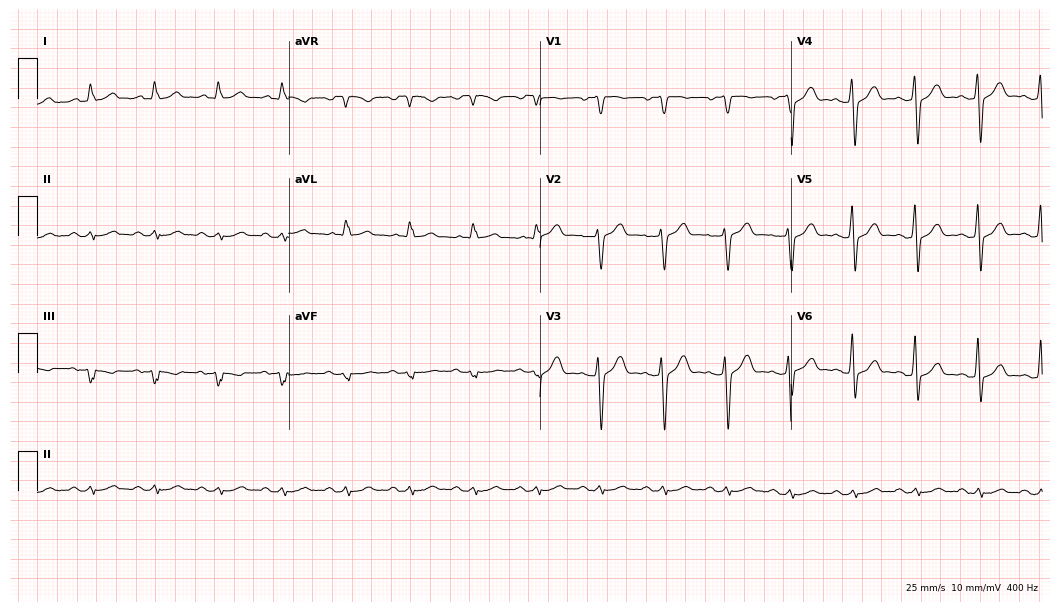
12-lead ECG from a 65-year-old man. No first-degree AV block, right bundle branch block, left bundle branch block, sinus bradycardia, atrial fibrillation or sinus tachycardia recorded for this tracing.